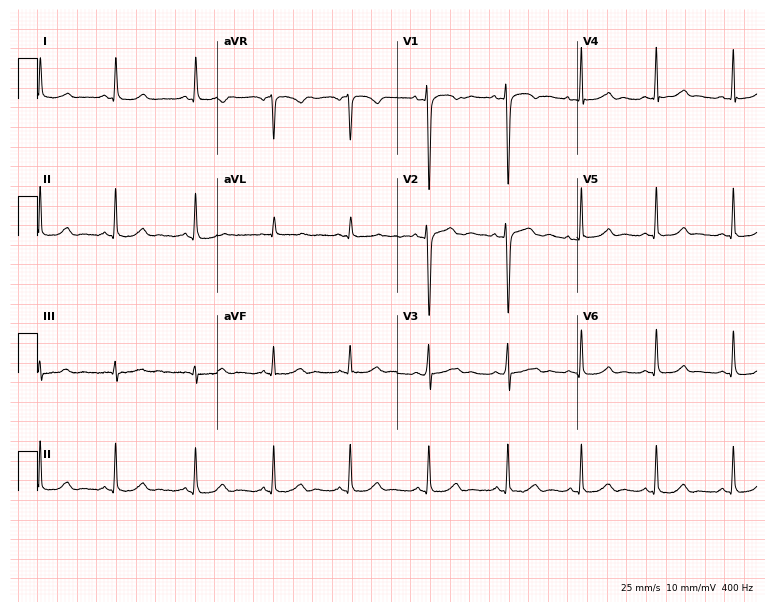
12-lead ECG from a female patient, 24 years old. Screened for six findings — first-degree AV block, right bundle branch block, left bundle branch block, sinus bradycardia, atrial fibrillation, sinus tachycardia — none is recorded. Other findings, if any, are not listed.